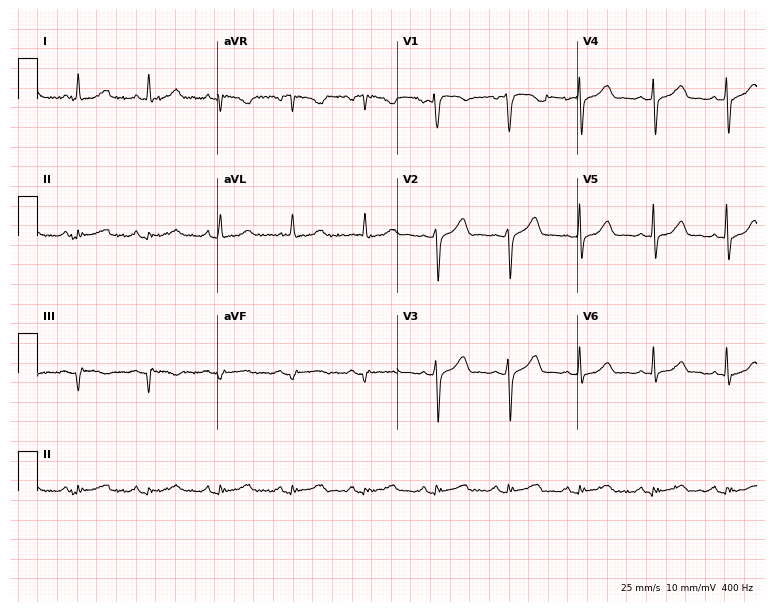
Standard 12-lead ECG recorded from a 64-year-old woman. None of these six findings is recorded: first-degree AV block, right bundle branch block (RBBB), left bundle branch block (LBBB), sinus bradycardia, atrial fibrillation (AF), sinus tachycardia. Only these six findings were labelled.